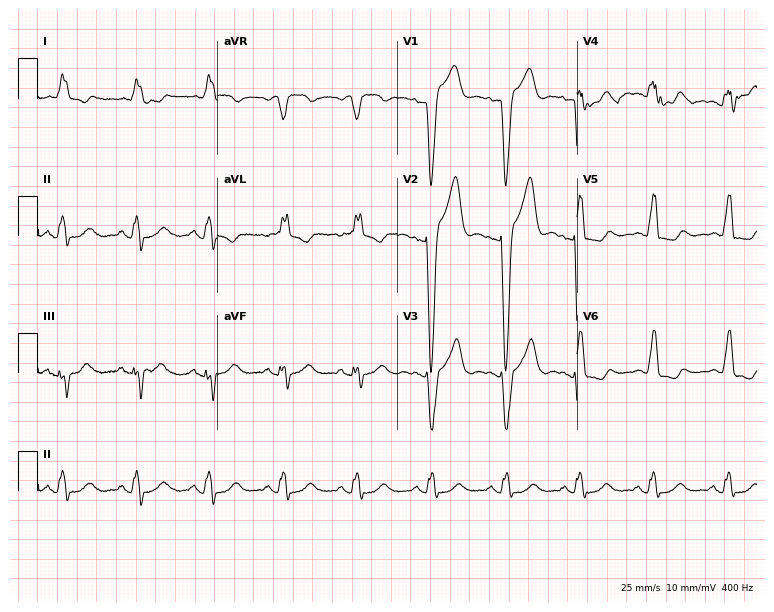
Resting 12-lead electrocardiogram (7.3-second recording at 400 Hz). Patient: a 73-year-old female. The tracing shows left bundle branch block.